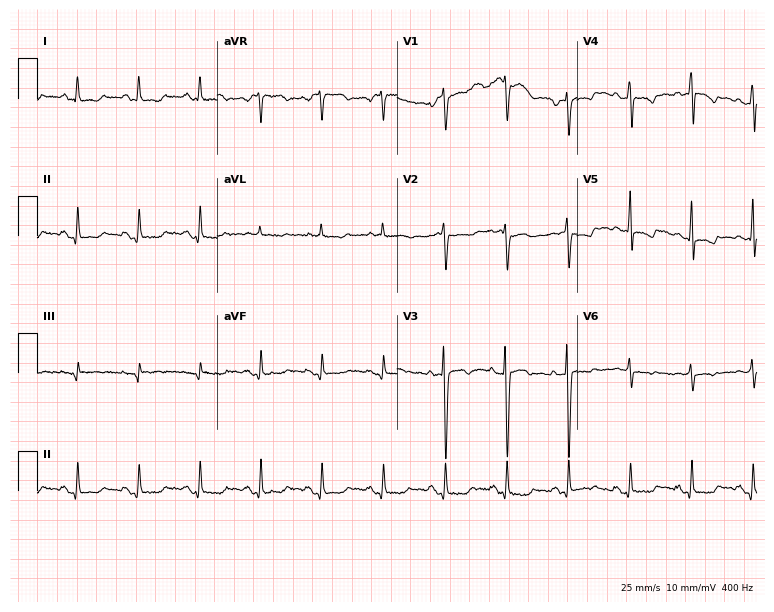
Resting 12-lead electrocardiogram (7.3-second recording at 400 Hz). Patient: a woman, 82 years old. None of these six findings is recorded: first-degree AV block, right bundle branch block, left bundle branch block, sinus bradycardia, atrial fibrillation, sinus tachycardia.